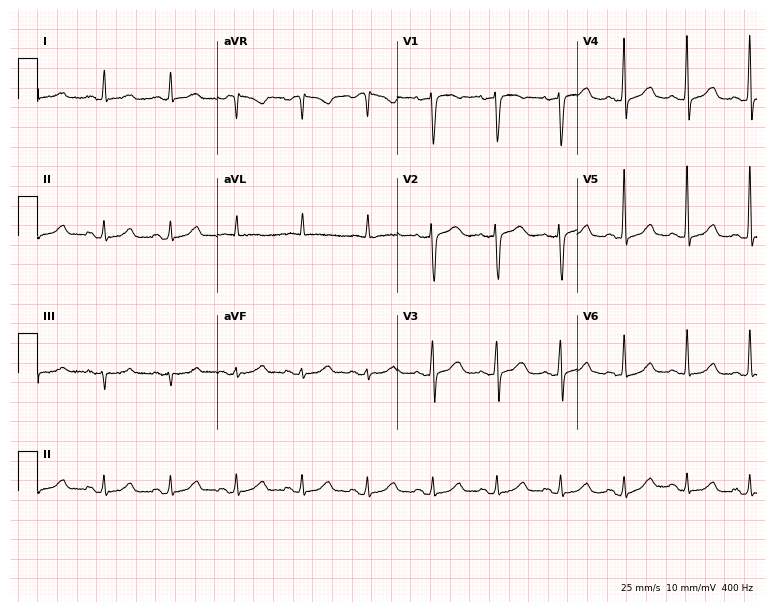
ECG (7.3-second recording at 400 Hz) — a female patient, 48 years old. Labelled as a normal ECG.